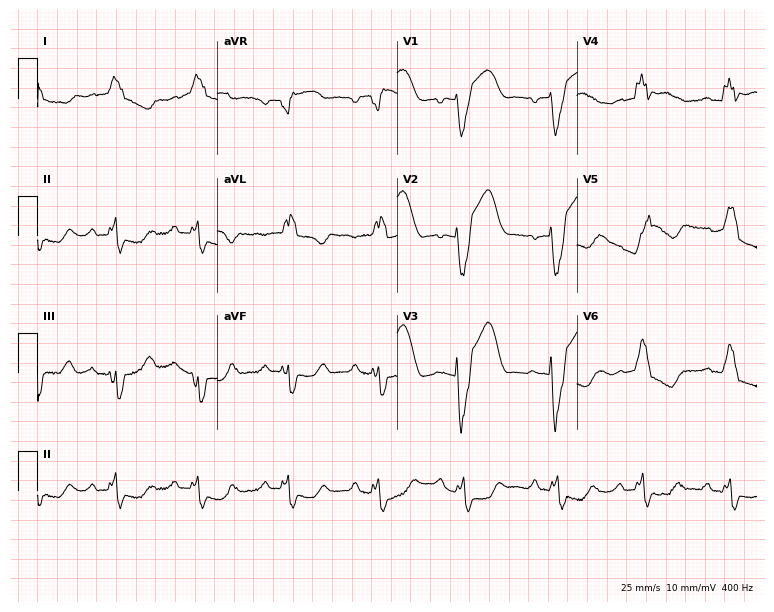
12-lead ECG (7.3-second recording at 400 Hz) from a 64-year-old woman. Findings include left bundle branch block.